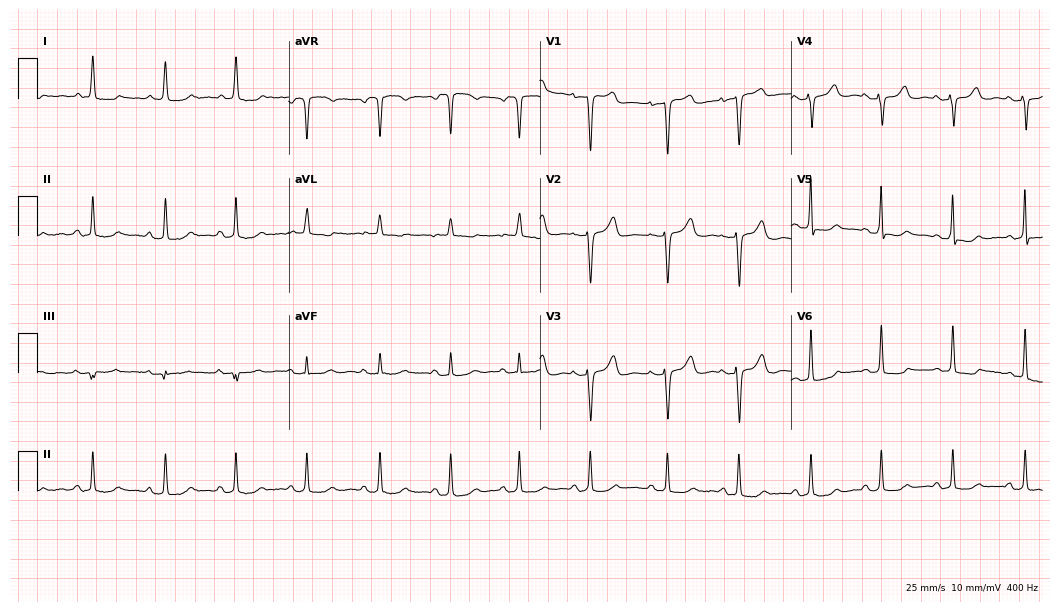
Electrocardiogram, a 77-year-old woman. Of the six screened findings (first-degree AV block, right bundle branch block (RBBB), left bundle branch block (LBBB), sinus bradycardia, atrial fibrillation (AF), sinus tachycardia), none is recorded.